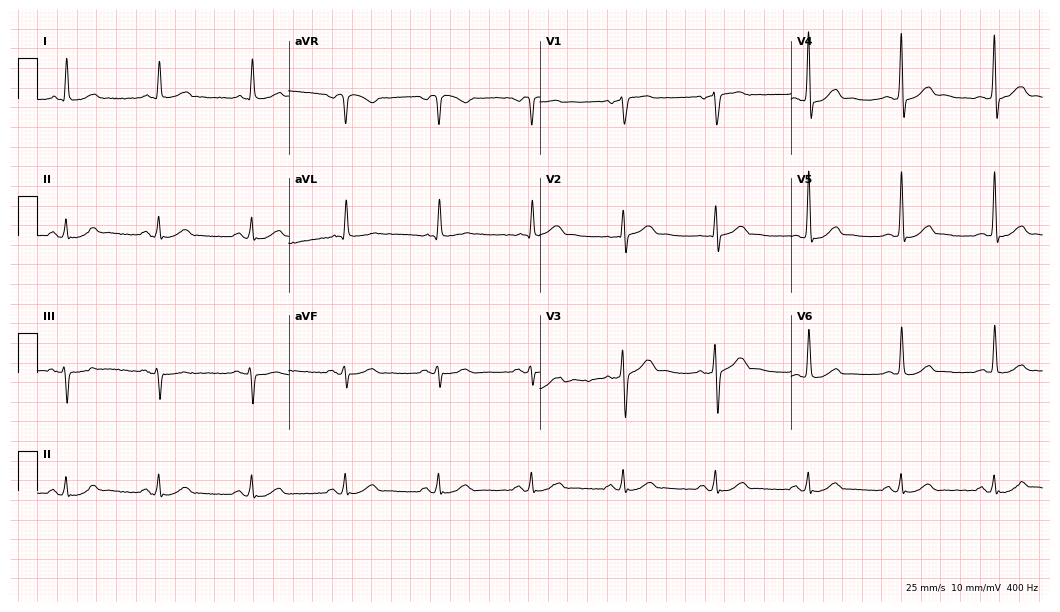
Standard 12-lead ECG recorded from a 73-year-old male (10.2-second recording at 400 Hz). Read as a normal ECG.